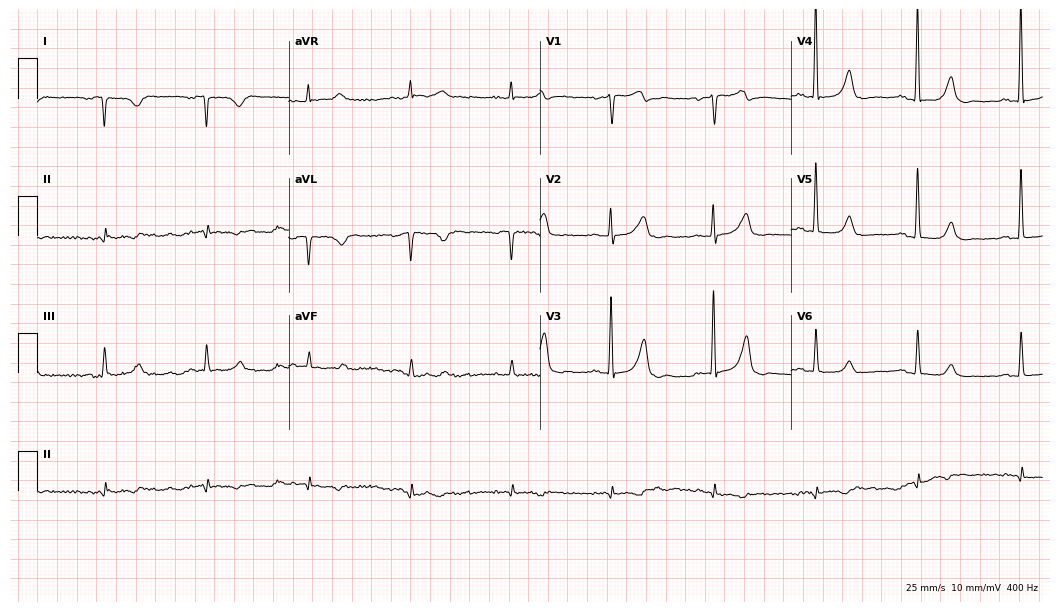
12-lead ECG from an 85-year-old male (10.2-second recording at 400 Hz). No first-degree AV block, right bundle branch block (RBBB), left bundle branch block (LBBB), sinus bradycardia, atrial fibrillation (AF) or sinus tachycardia recorded for this tracing. Only these six findings were labelled.